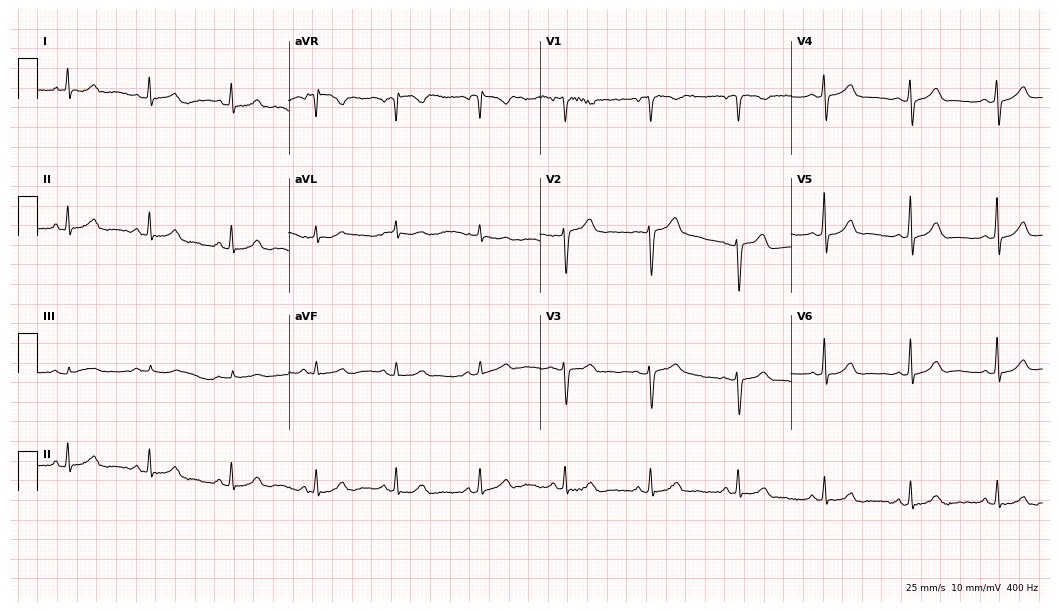
12-lead ECG from a female, 34 years old (10.2-second recording at 400 Hz). Recorded interpretation: within normal limits.